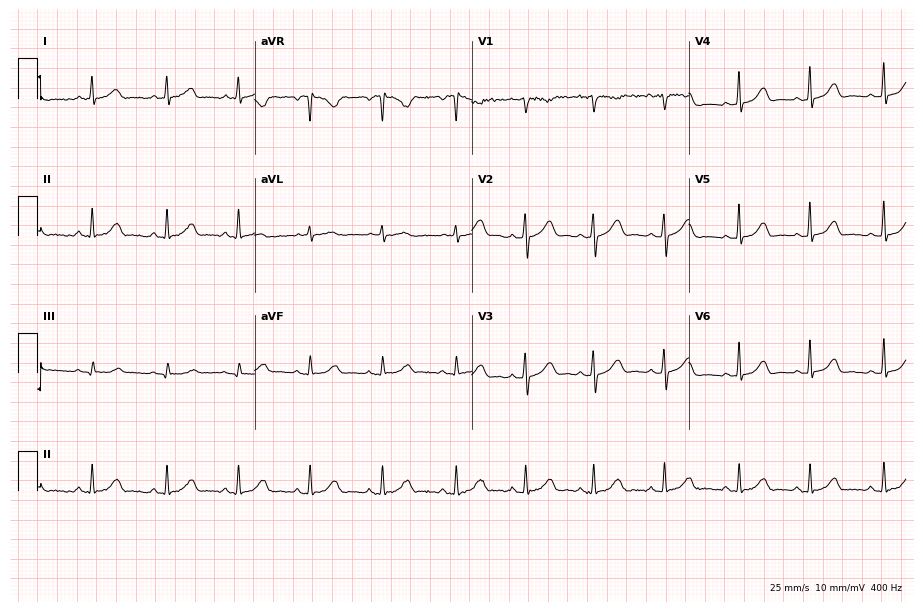
Electrocardiogram, a 22-year-old female patient. Overall reading on record: normal ECG.